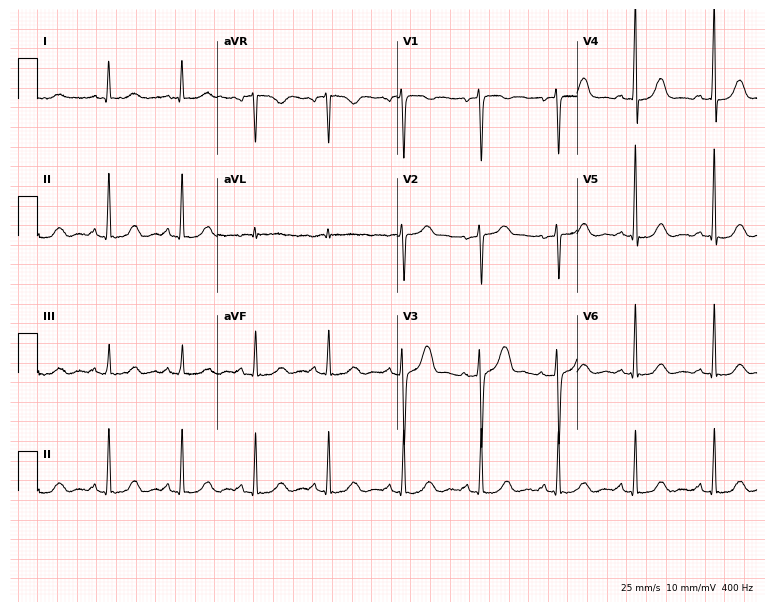
12-lead ECG from a 49-year-old woman. Labelled as a normal ECG.